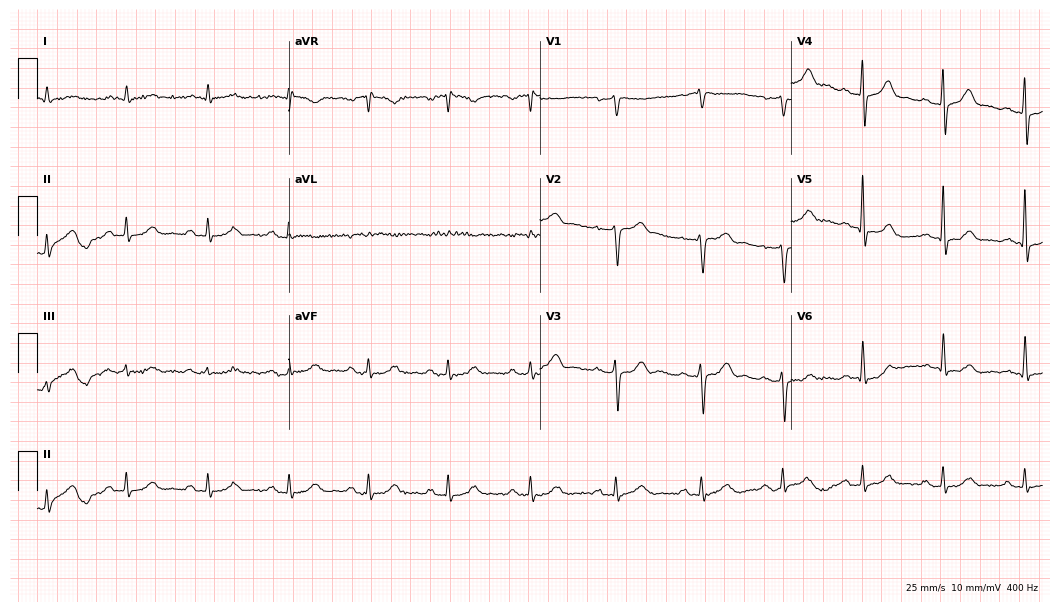
Standard 12-lead ECG recorded from a 78-year-old woman. Read as a normal ECG.